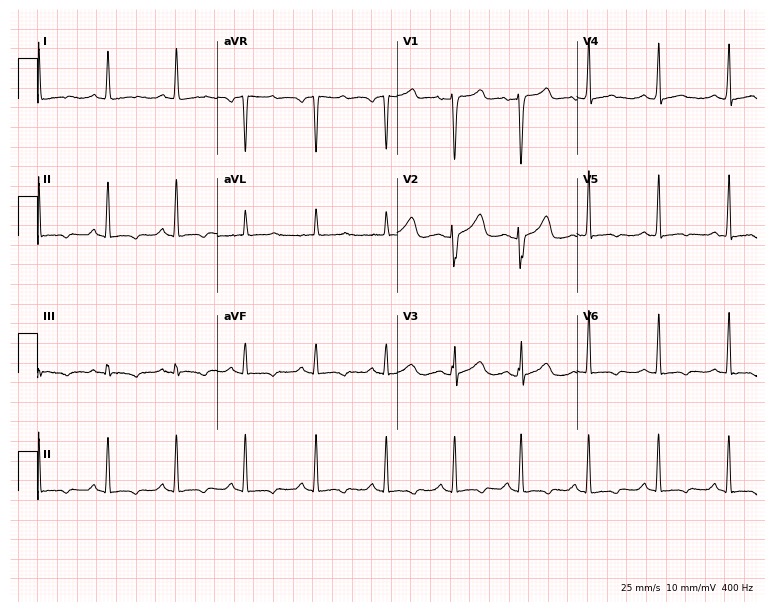
12-lead ECG from a 53-year-old female patient. Screened for six findings — first-degree AV block, right bundle branch block, left bundle branch block, sinus bradycardia, atrial fibrillation, sinus tachycardia — none is recorded. Findings outside these six are not listed.